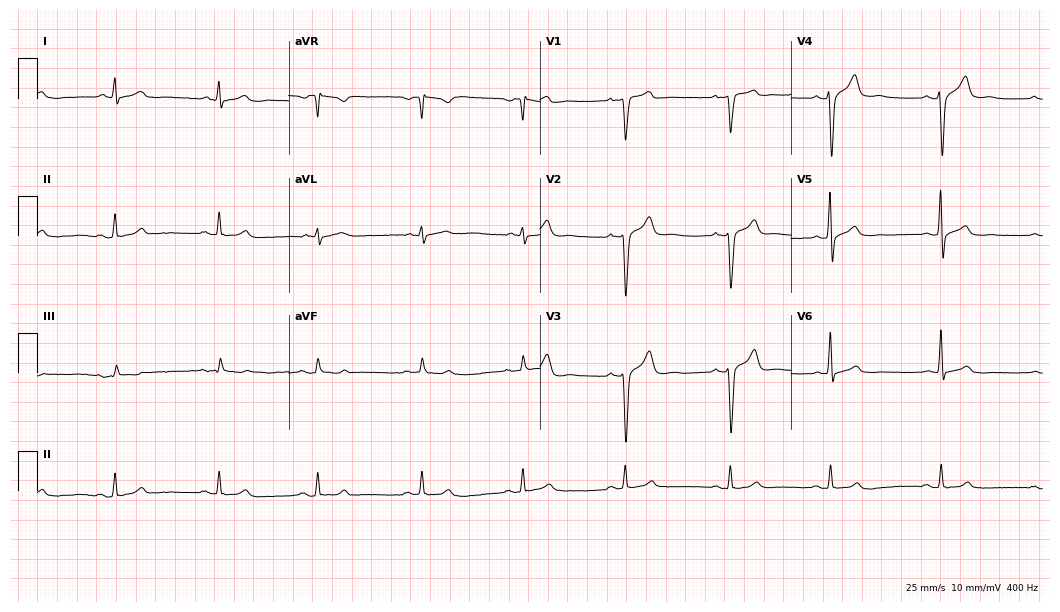
Electrocardiogram (10.2-second recording at 400 Hz), a 38-year-old male patient. Overall reading on record: normal ECG.